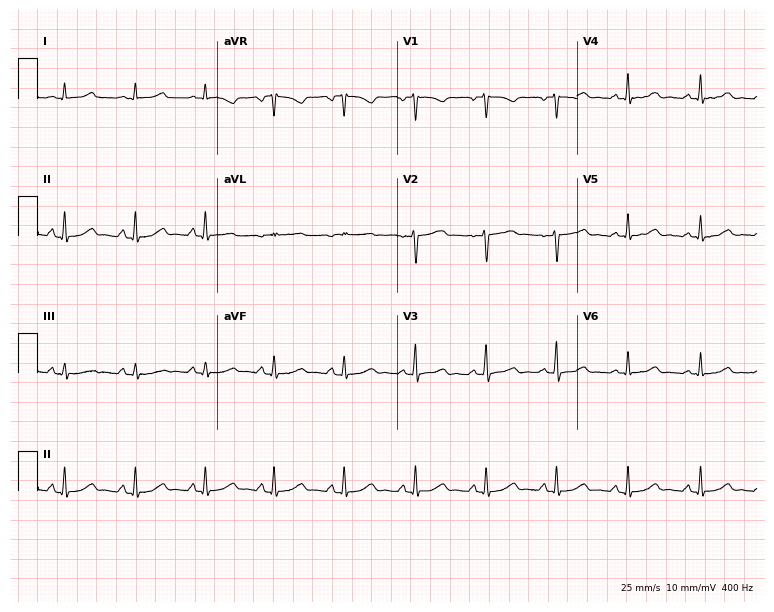
12-lead ECG from a woman, 40 years old. Labelled as a normal ECG.